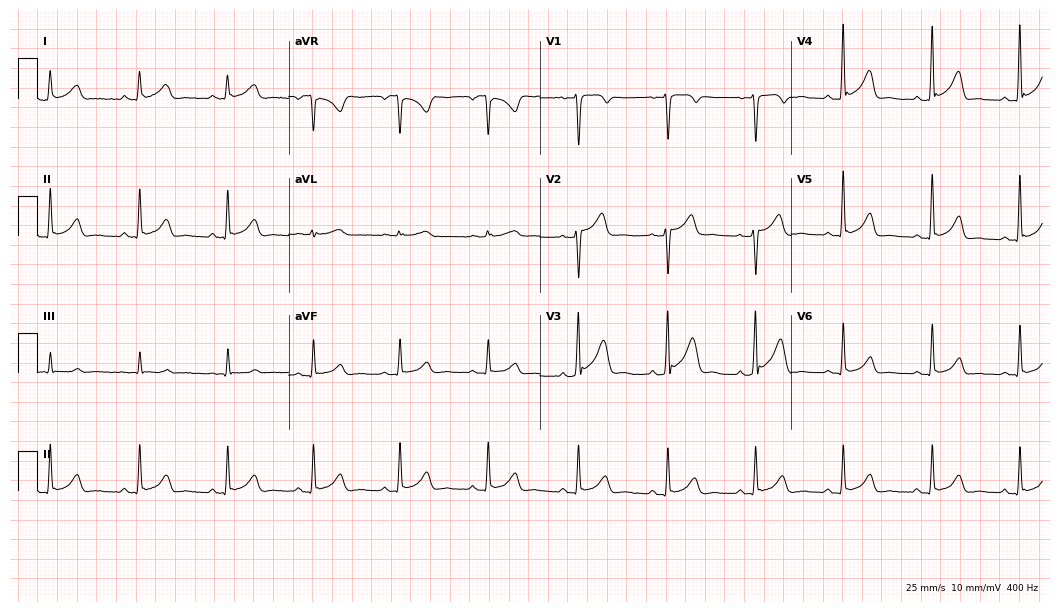
Standard 12-lead ECG recorded from a male, 38 years old (10.2-second recording at 400 Hz). None of these six findings is recorded: first-degree AV block, right bundle branch block, left bundle branch block, sinus bradycardia, atrial fibrillation, sinus tachycardia.